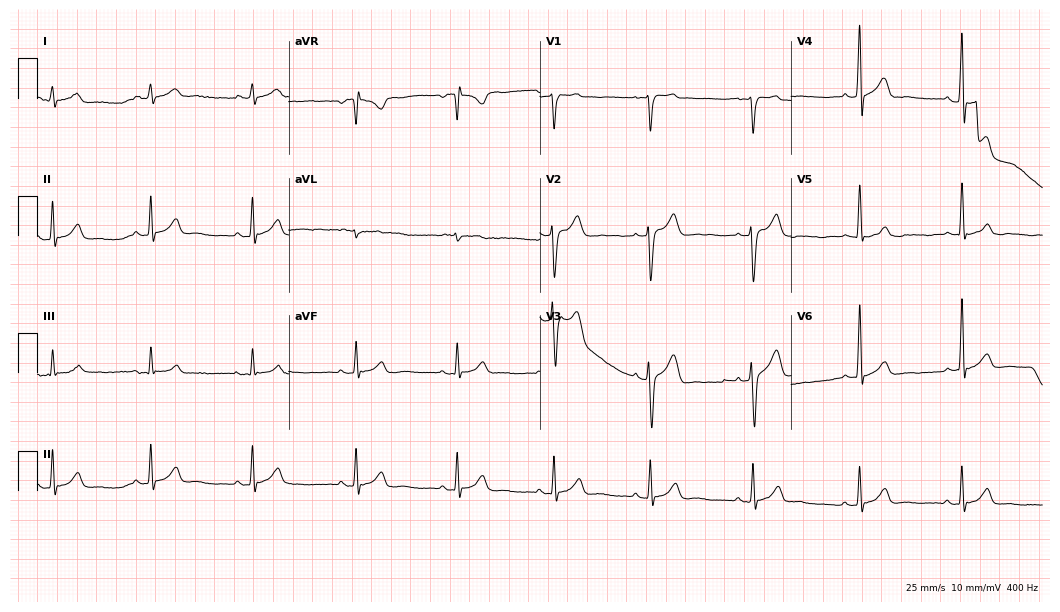
Standard 12-lead ECG recorded from a man, 27 years old. Read as a normal ECG.